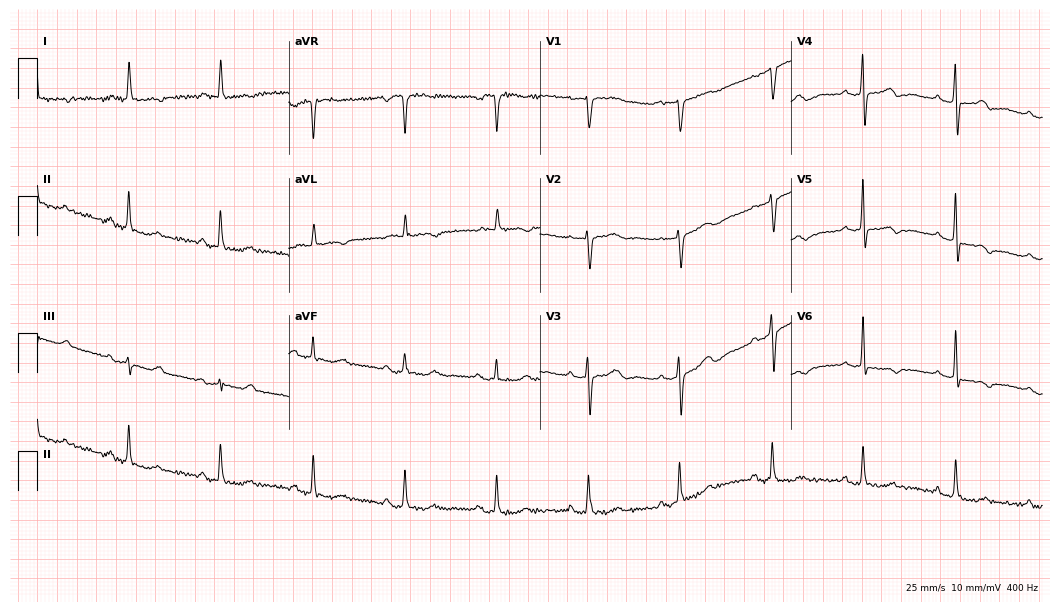
ECG (10.2-second recording at 400 Hz) — a 71-year-old female. Labelled as a normal ECG.